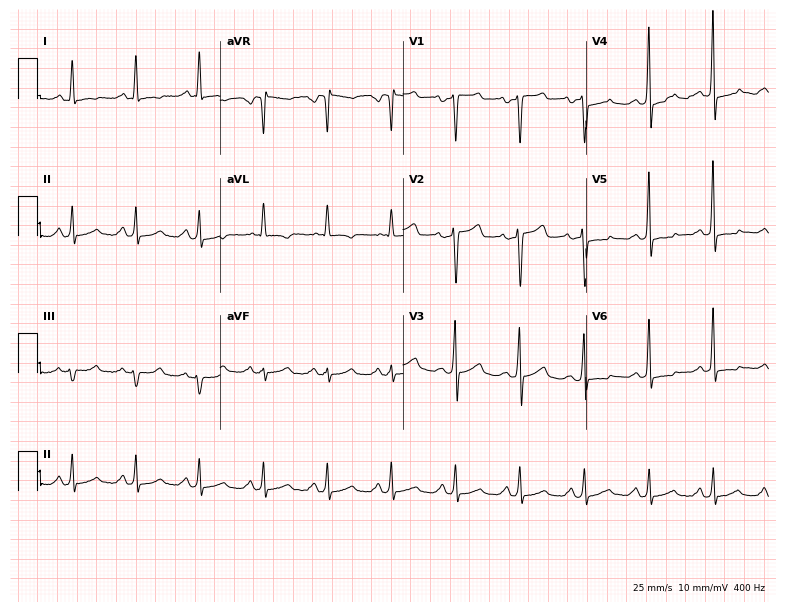
Electrocardiogram (7.5-second recording at 400 Hz), a 59-year-old female patient. Of the six screened findings (first-degree AV block, right bundle branch block, left bundle branch block, sinus bradycardia, atrial fibrillation, sinus tachycardia), none is recorded.